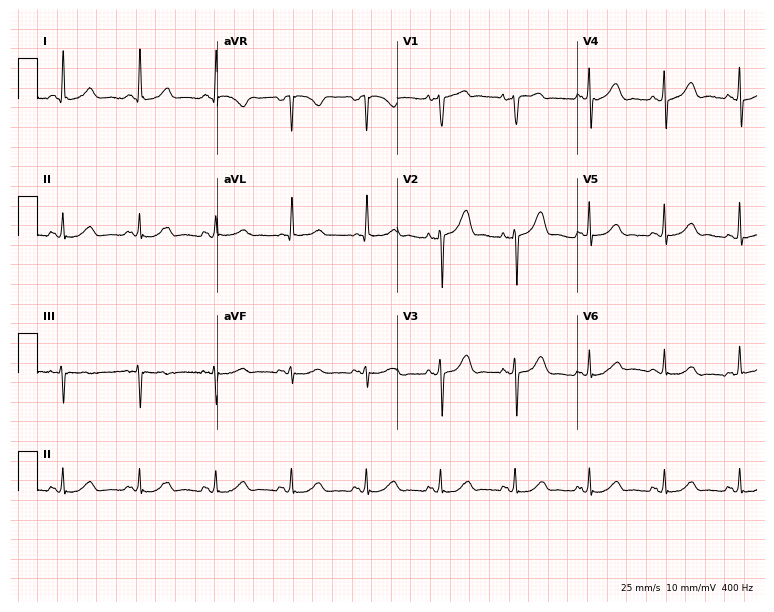
Standard 12-lead ECG recorded from a man, 75 years old (7.3-second recording at 400 Hz). None of these six findings is recorded: first-degree AV block, right bundle branch block (RBBB), left bundle branch block (LBBB), sinus bradycardia, atrial fibrillation (AF), sinus tachycardia.